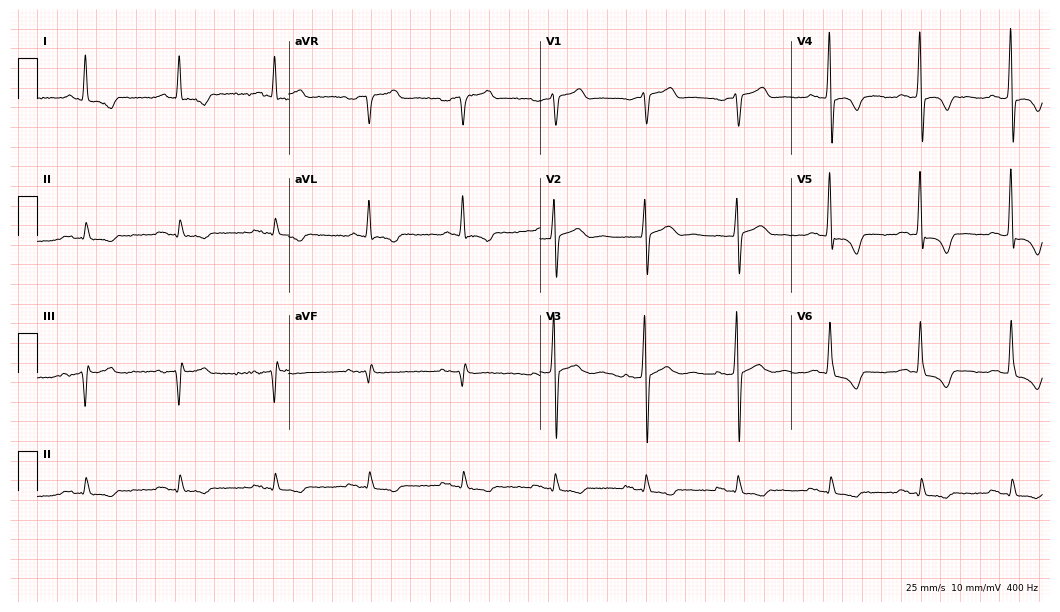
12-lead ECG from a 66-year-old man. Screened for six findings — first-degree AV block, right bundle branch block (RBBB), left bundle branch block (LBBB), sinus bradycardia, atrial fibrillation (AF), sinus tachycardia — none is recorded.